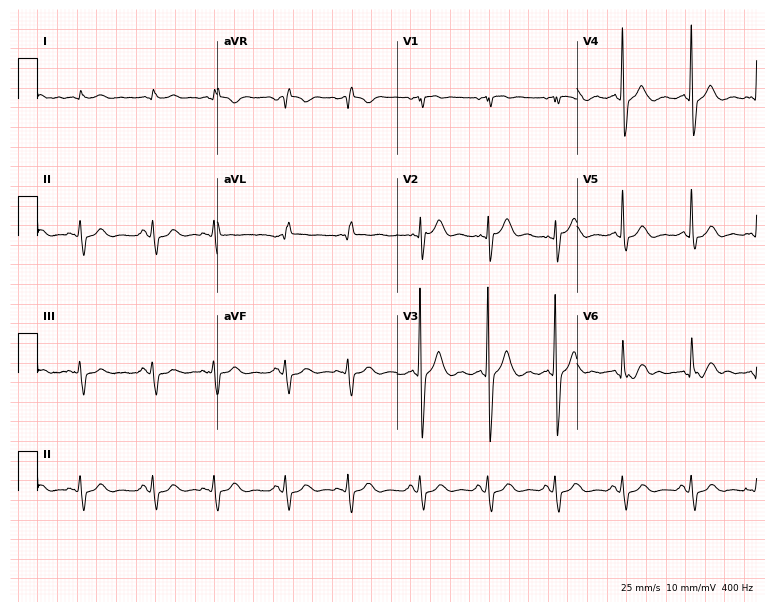
Resting 12-lead electrocardiogram. Patient: a male, 68 years old. None of these six findings is recorded: first-degree AV block, right bundle branch block, left bundle branch block, sinus bradycardia, atrial fibrillation, sinus tachycardia. Only these six findings were labelled.